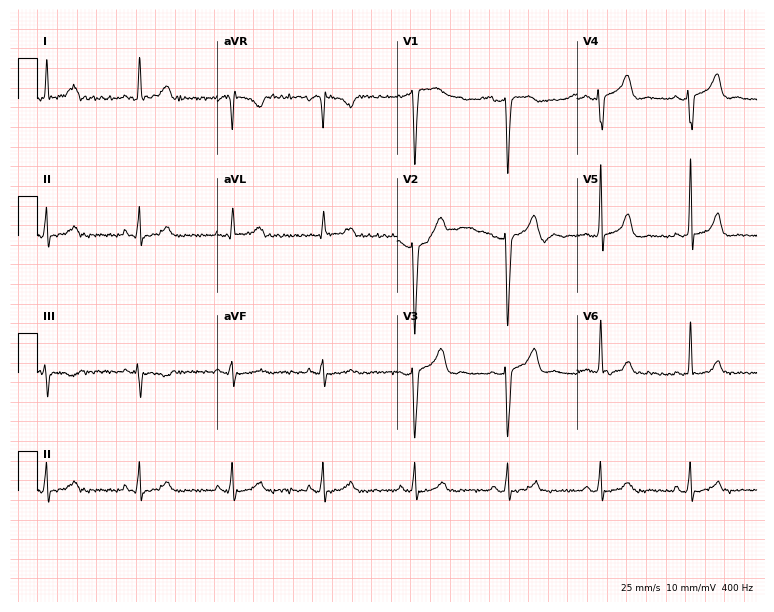
Resting 12-lead electrocardiogram (7.3-second recording at 400 Hz). Patient: a female, 35 years old. Read as a normal ECG.